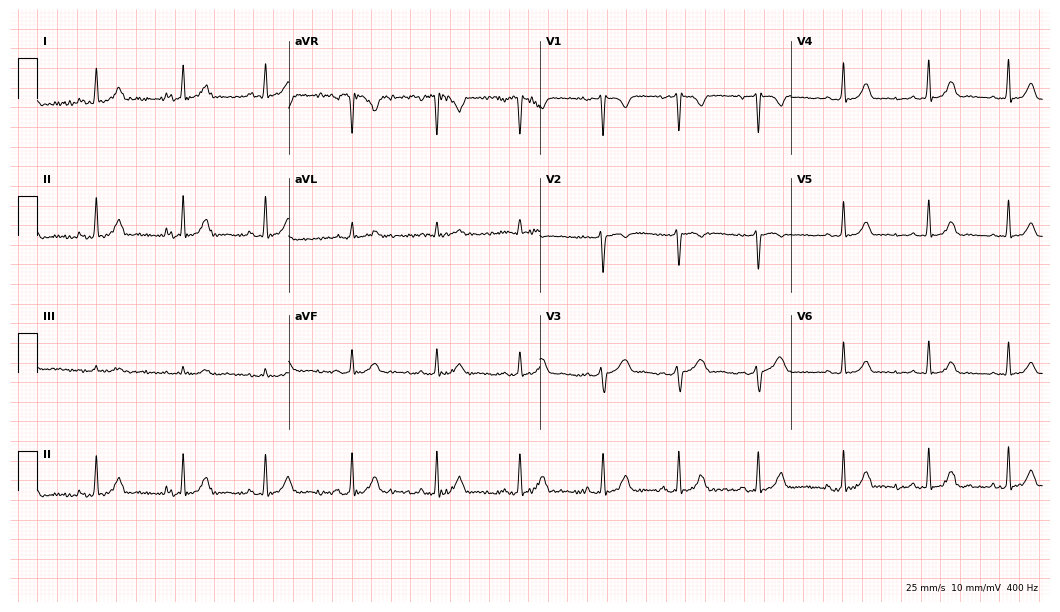
ECG — a female, 19 years old. Labelled as a normal ECG.